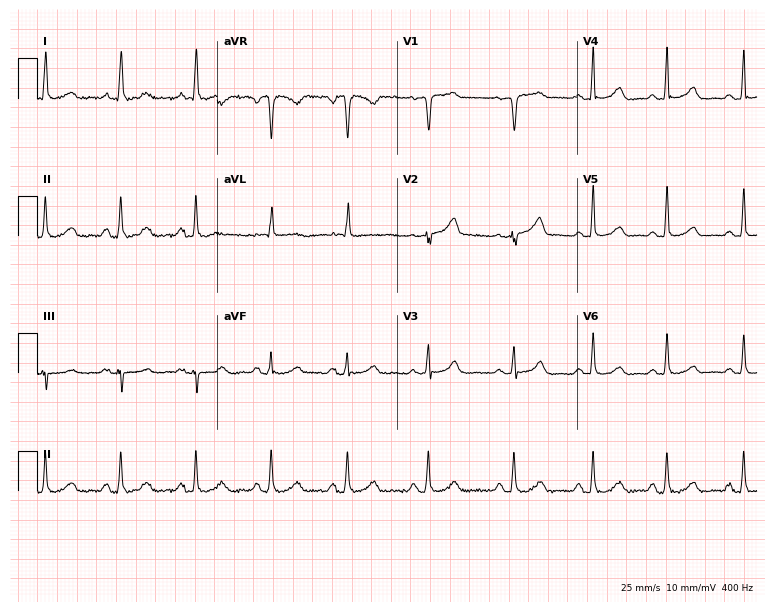
12-lead ECG (7.3-second recording at 400 Hz) from a woman, 62 years old. Screened for six findings — first-degree AV block, right bundle branch block (RBBB), left bundle branch block (LBBB), sinus bradycardia, atrial fibrillation (AF), sinus tachycardia — none is recorded. Other findings, if any, are not listed.